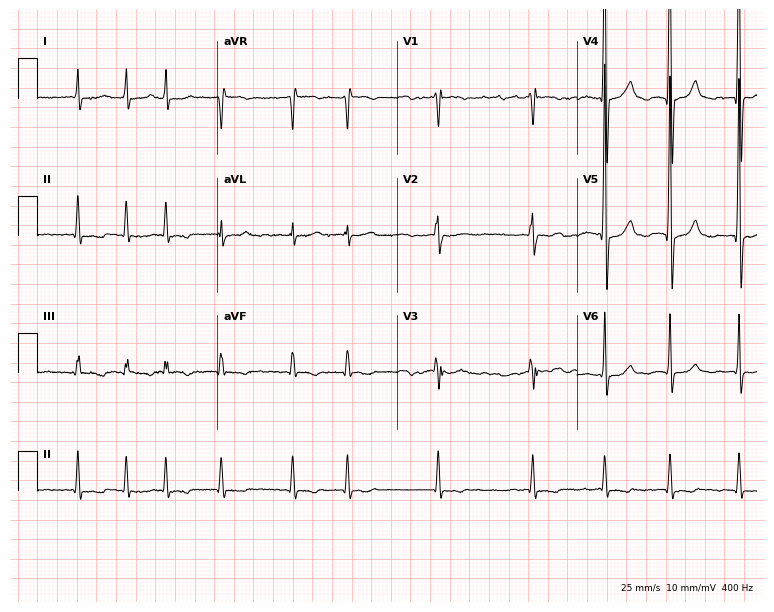
Electrocardiogram, a male, 65 years old. Interpretation includes atrial fibrillation (AF).